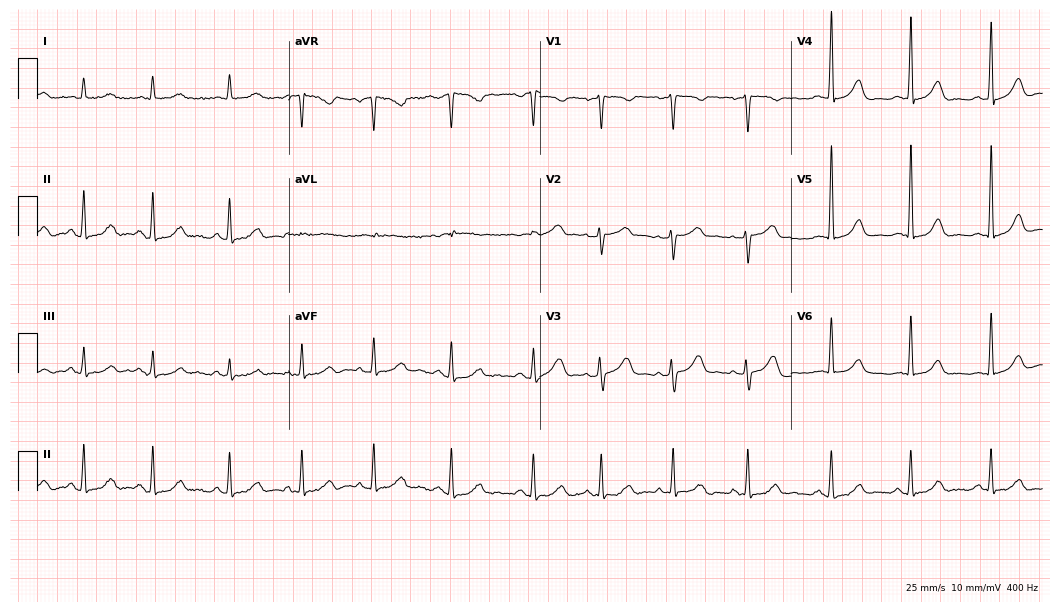
Resting 12-lead electrocardiogram (10.2-second recording at 400 Hz). Patient: a 37-year-old woman. Read as a normal ECG.